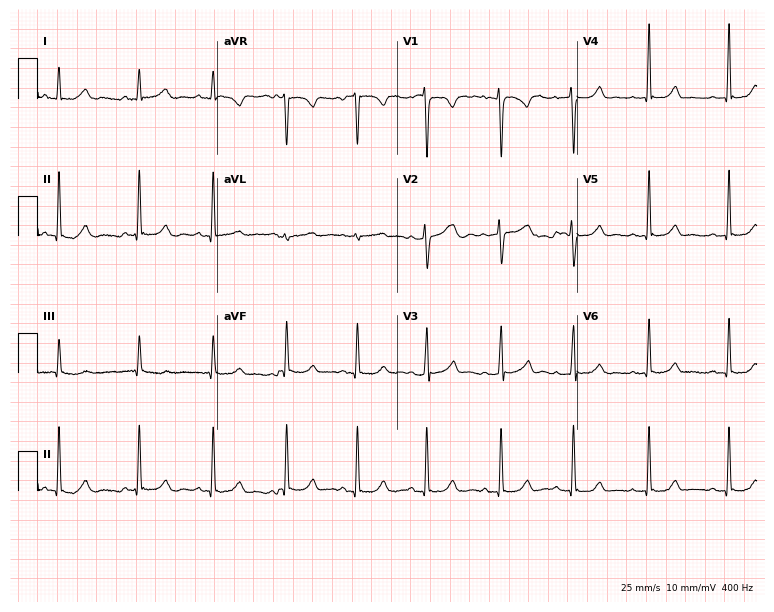
Resting 12-lead electrocardiogram (7.3-second recording at 400 Hz). Patient: a 24-year-old female. Read as a normal ECG.